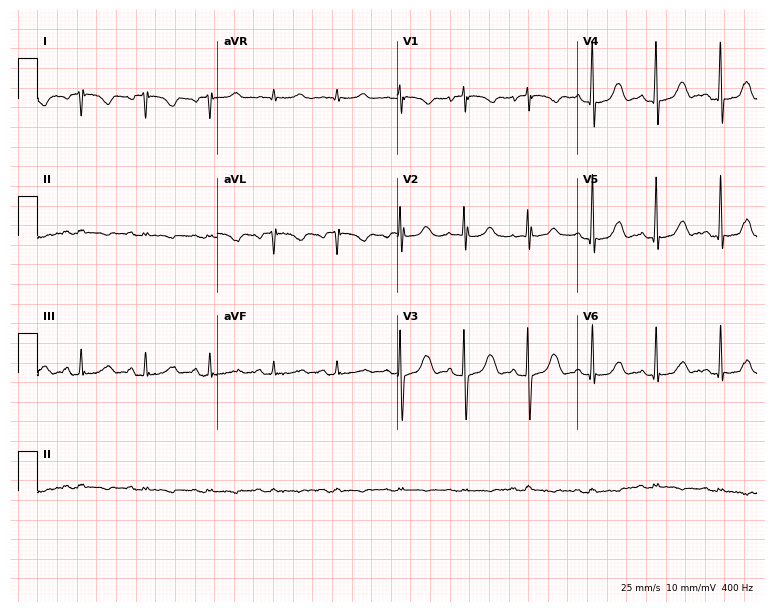
12-lead ECG (7.3-second recording at 400 Hz) from a female patient, 75 years old. Screened for six findings — first-degree AV block, right bundle branch block, left bundle branch block, sinus bradycardia, atrial fibrillation, sinus tachycardia — none is recorded. Findings outside these six are not listed.